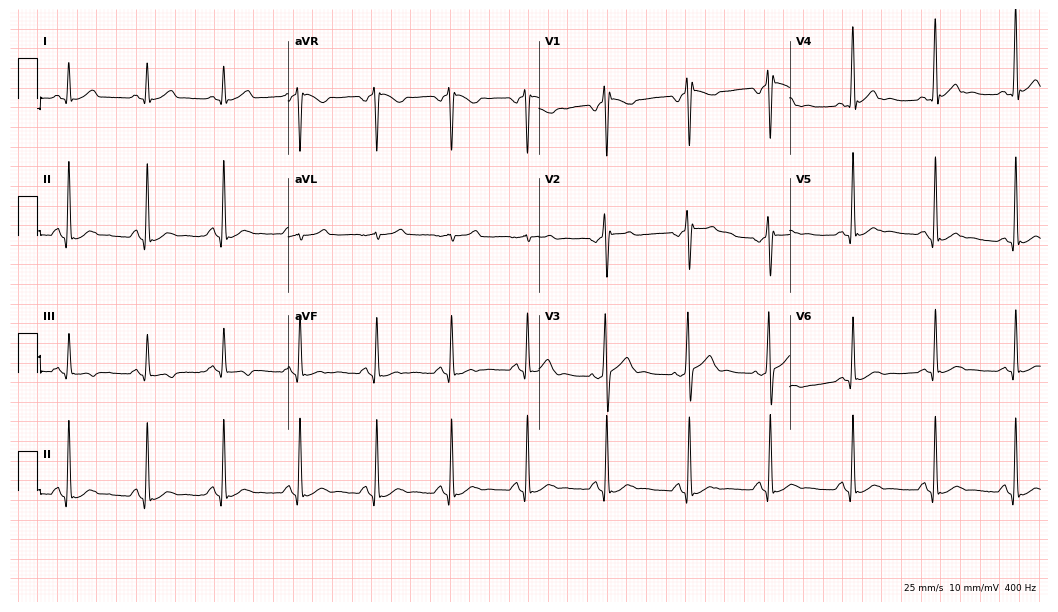
Standard 12-lead ECG recorded from a man, 33 years old. None of these six findings is recorded: first-degree AV block, right bundle branch block, left bundle branch block, sinus bradycardia, atrial fibrillation, sinus tachycardia. Findings outside these six are not listed.